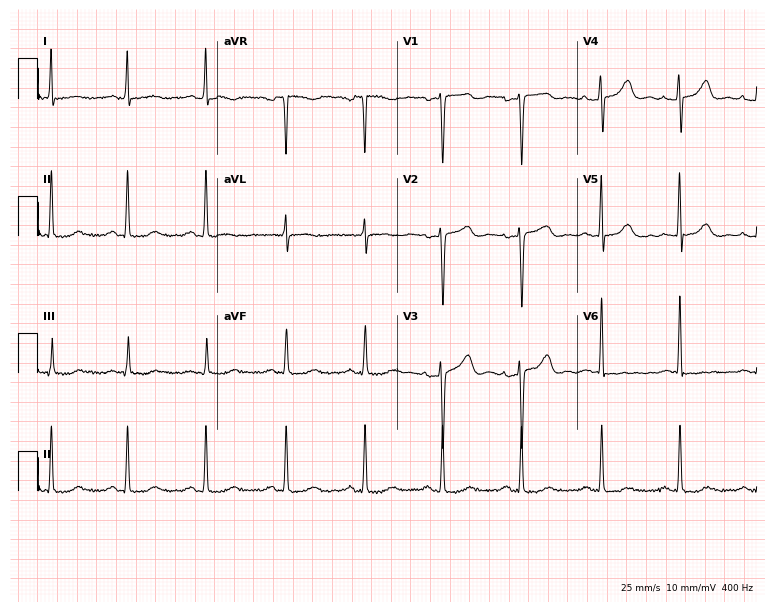
ECG — a 42-year-old female. Screened for six findings — first-degree AV block, right bundle branch block (RBBB), left bundle branch block (LBBB), sinus bradycardia, atrial fibrillation (AF), sinus tachycardia — none is recorded. Findings outside these six are not listed.